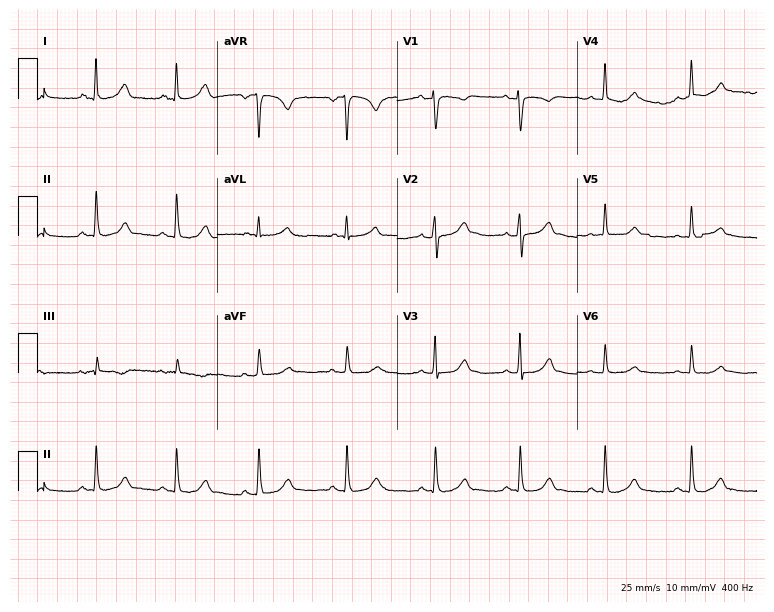
Electrocardiogram, a 23-year-old woman. Overall reading on record: normal ECG.